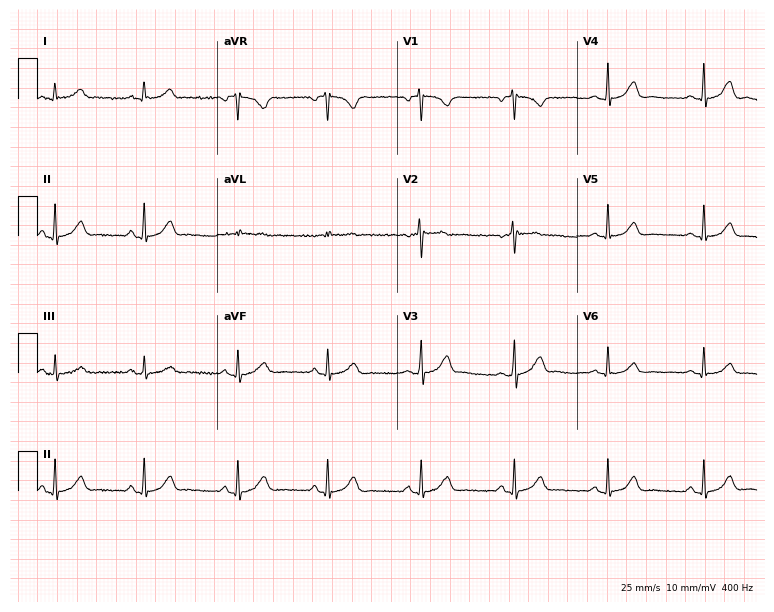
12-lead ECG (7.3-second recording at 400 Hz) from a female patient, 39 years old. Screened for six findings — first-degree AV block, right bundle branch block, left bundle branch block, sinus bradycardia, atrial fibrillation, sinus tachycardia — none is recorded.